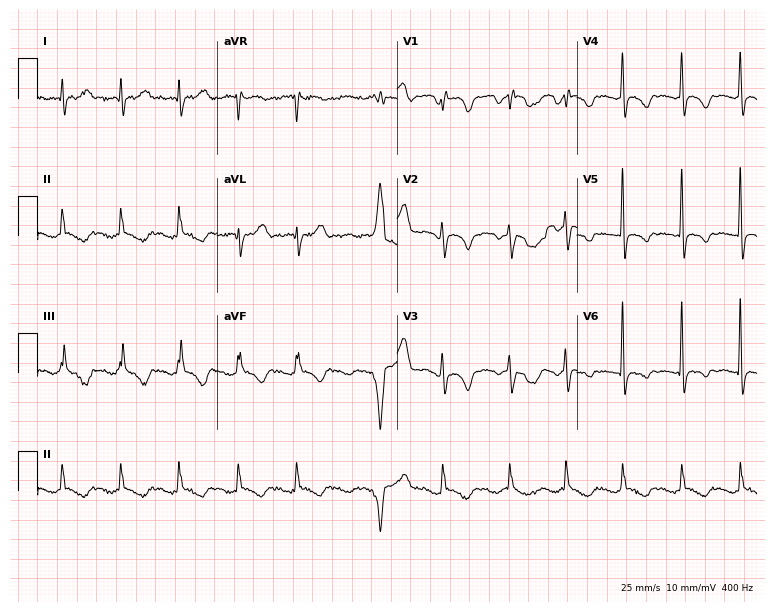
Resting 12-lead electrocardiogram (7.3-second recording at 400 Hz). Patient: a 77-year-old woman. None of these six findings is recorded: first-degree AV block, right bundle branch block, left bundle branch block, sinus bradycardia, atrial fibrillation, sinus tachycardia. Only these six findings were labelled.